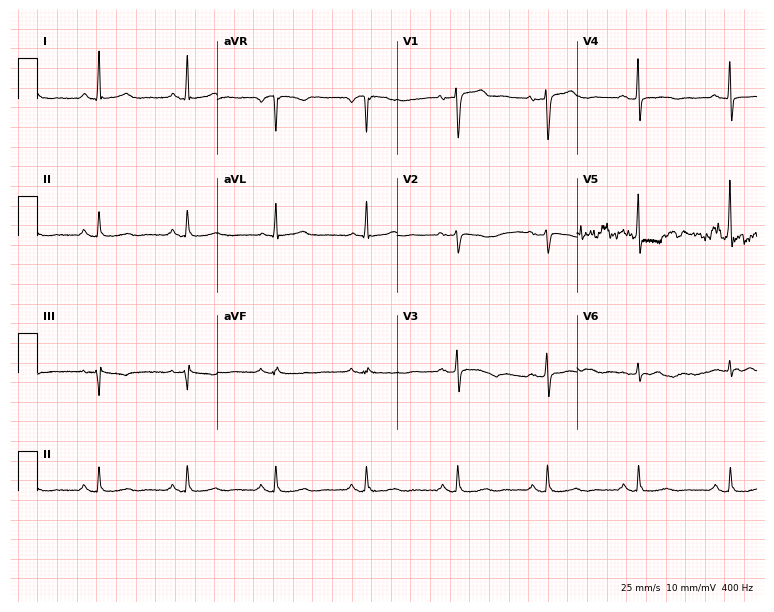
Standard 12-lead ECG recorded from a woman, 52 years old. None of these six findings is recorded: first-degree AV block, right bundle branch block (RBBB), left bundle branch block (LBBB), sinus bradycardia, atrial fibrillation (AF), sinus tachycardia.